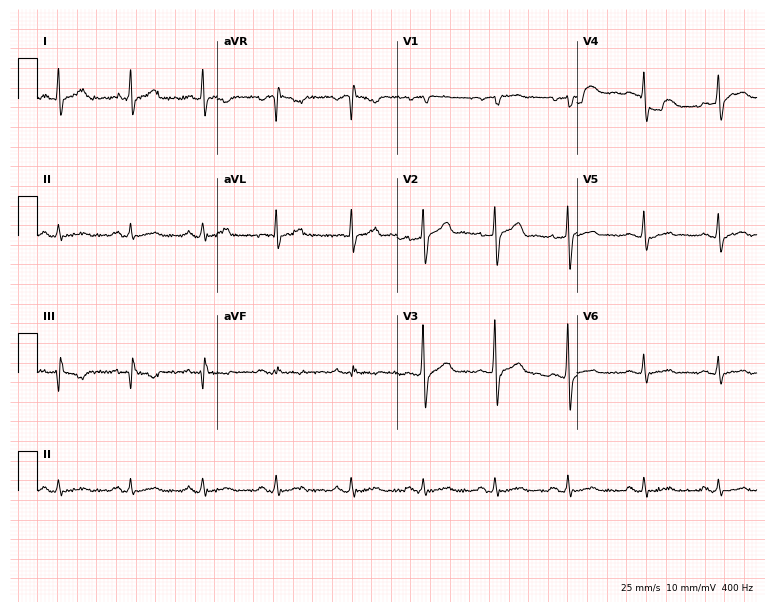
12-lead ECG from a male patient, 40 years old. No first-degree AV block, right bundle branch block (RBBB), left bundle branch block (LBBB), sinus bradycardia, atrial fibrillation (AF) or sinus tachycardia recorded for this tracing. Findings outside these six are not listed.